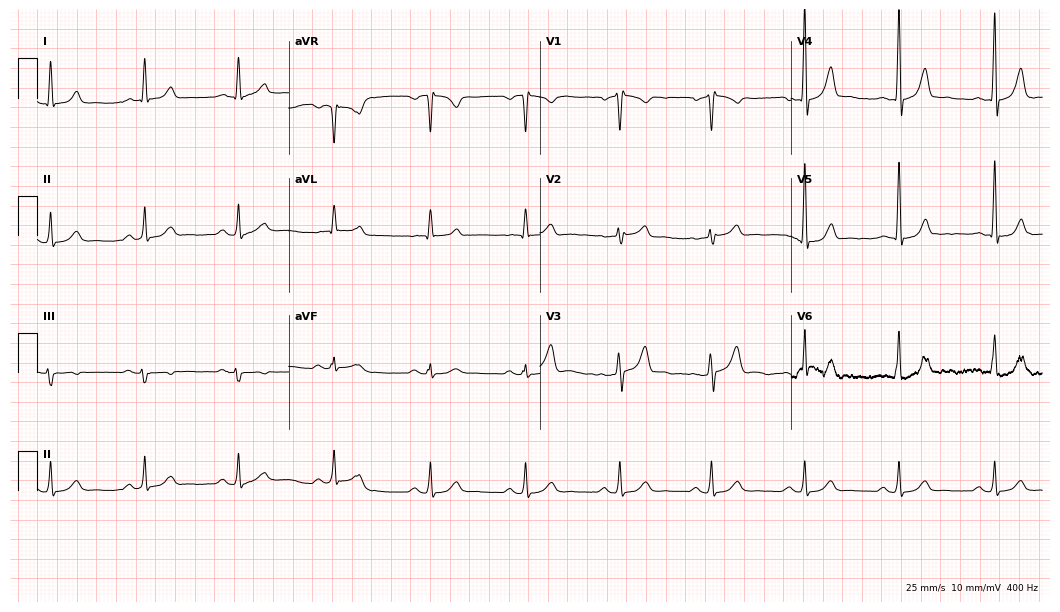
ECG — a man, 60 years old. Screened for six findings — first-degree AV block, right bundle branch block (RBBB), left bundle branch block (LBBB), sinus bradycardia, atrial fibrillation (AF), sinus tachycardia — none is recorded. Other findings, if any, are not listed.